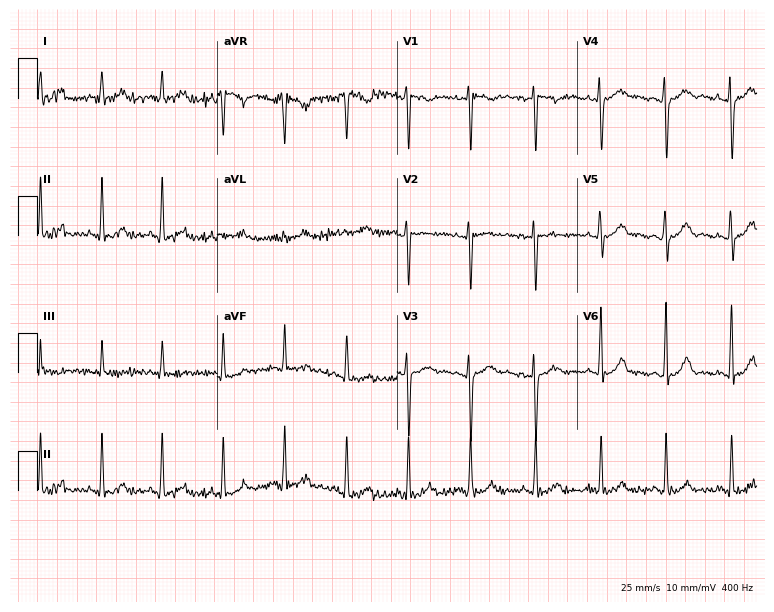
12-lead ECG from a female, 29 years old. No first-degree AV block, right bundle branch block, left bundle branch block, sinus bradycardia, atrial fibrillation or sinus tachycardia recorded for this tracing.